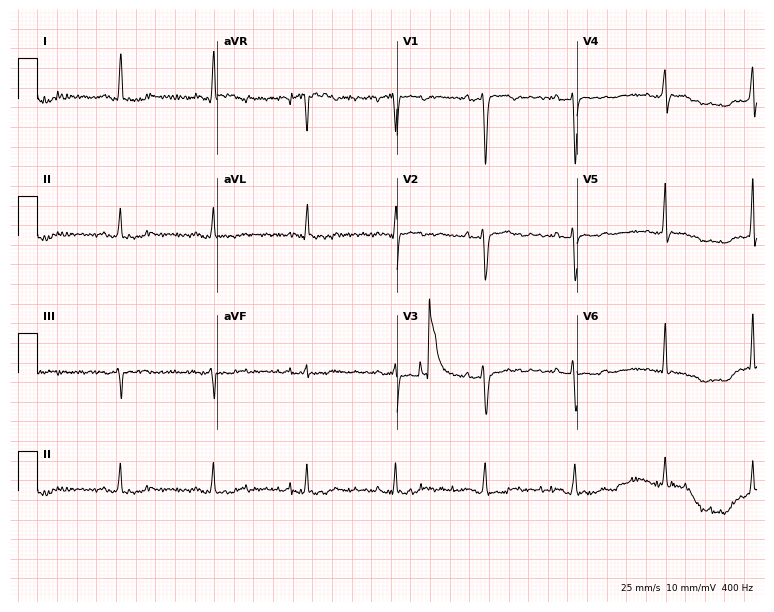
Resting 12-lead electrocardiogram. Patient: a female, 37 years old. None of these six findings is recorded: first-degree AV block, right bundle branch block, left bundle branch block, sinus bradycardia, atrial fibrillation, sinus tachycardia. Other findings, if any, are not listed.